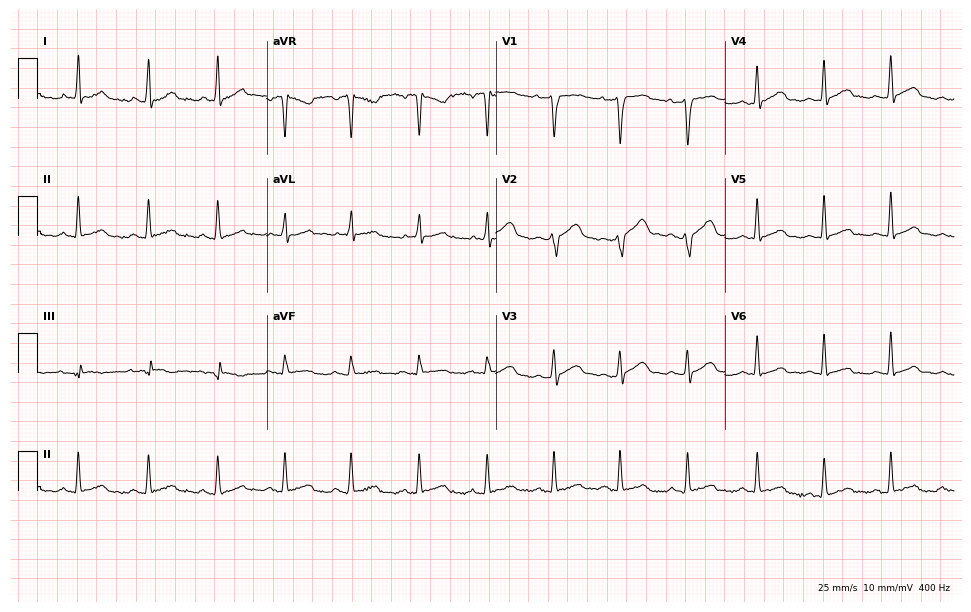
12-lead ECG from a 25-year-old man (9.3-second recording at 400 Hz). No first-degree AV block, right bundle branch block, left bundle branch block, sinus bradycardia, atrial fibrillation or sinus tachycardia recorded for this tracing.